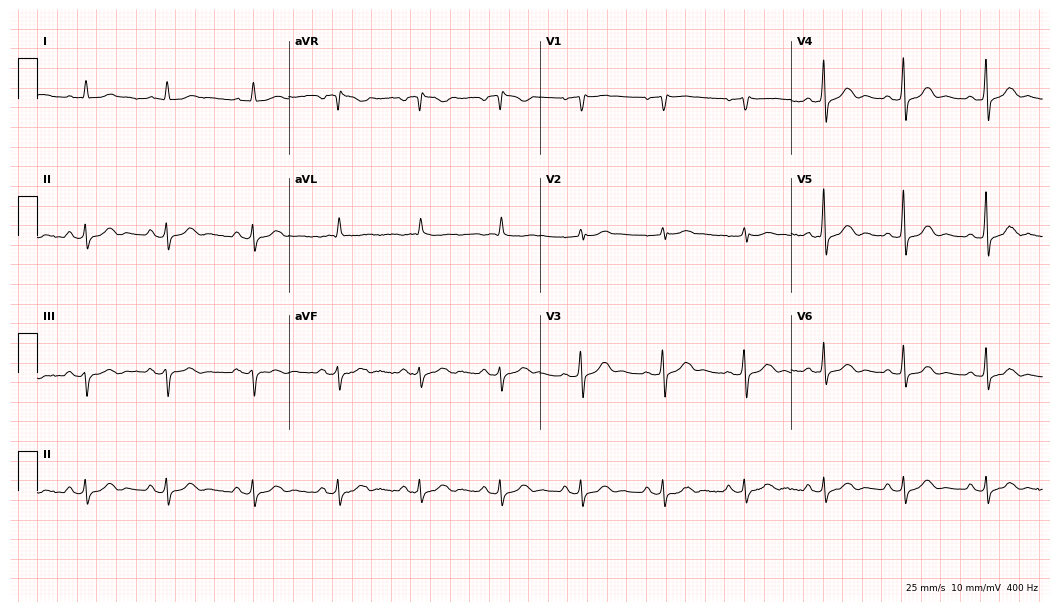
Electrocardiogram, a 64-year-old male. Overall reading on record: normal ECG.